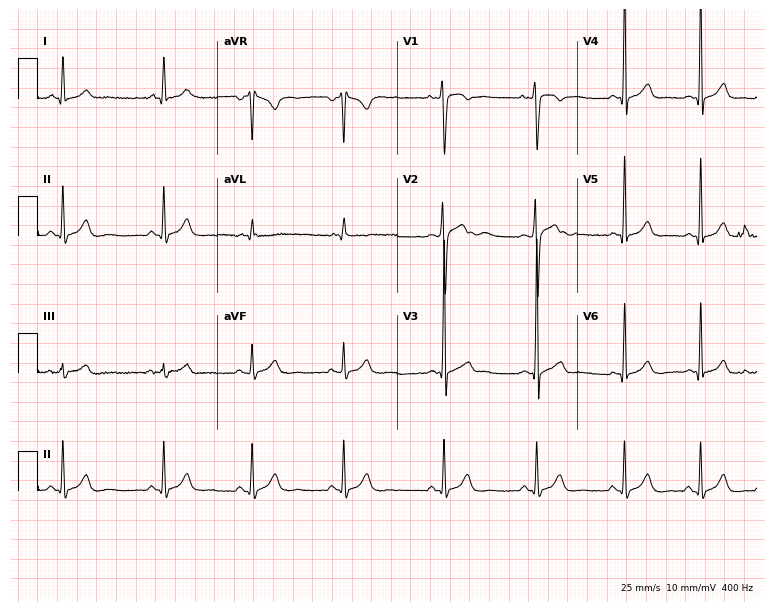
12-lead ECG from a male, 18 years old. Labelled as a normal ECG.